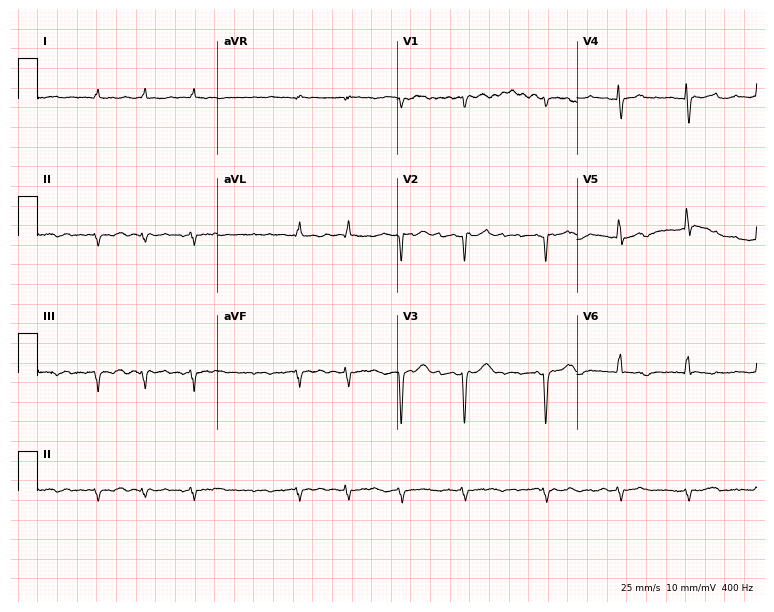
12-lead ECG from a 78-year-old female. Shows atrial fibrillation (AF).